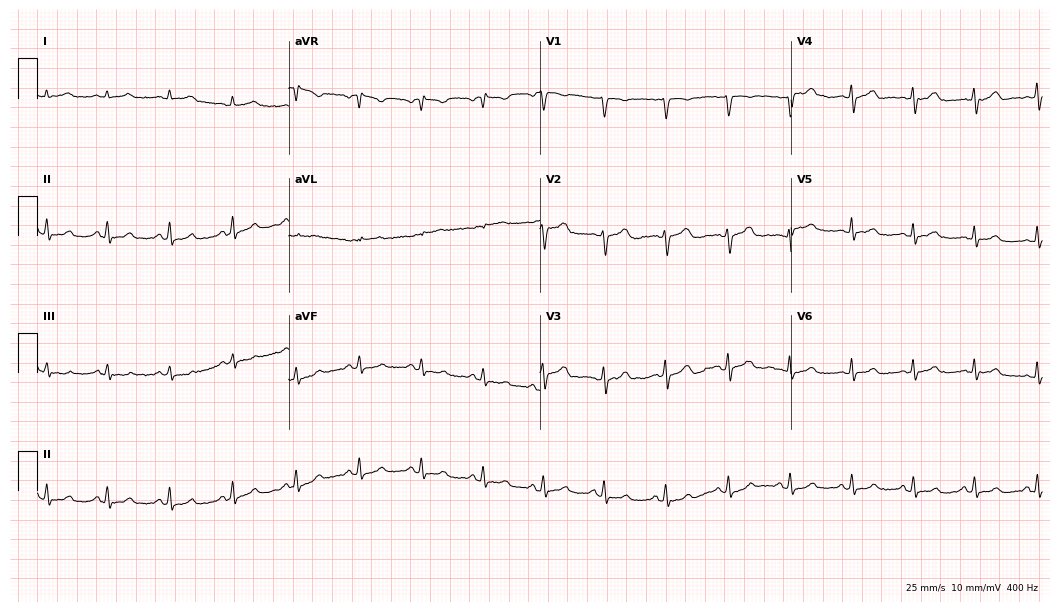
Resting 12-lead electrocardiogram. Patient: a 51-year-old man. Read as a normal ECG.